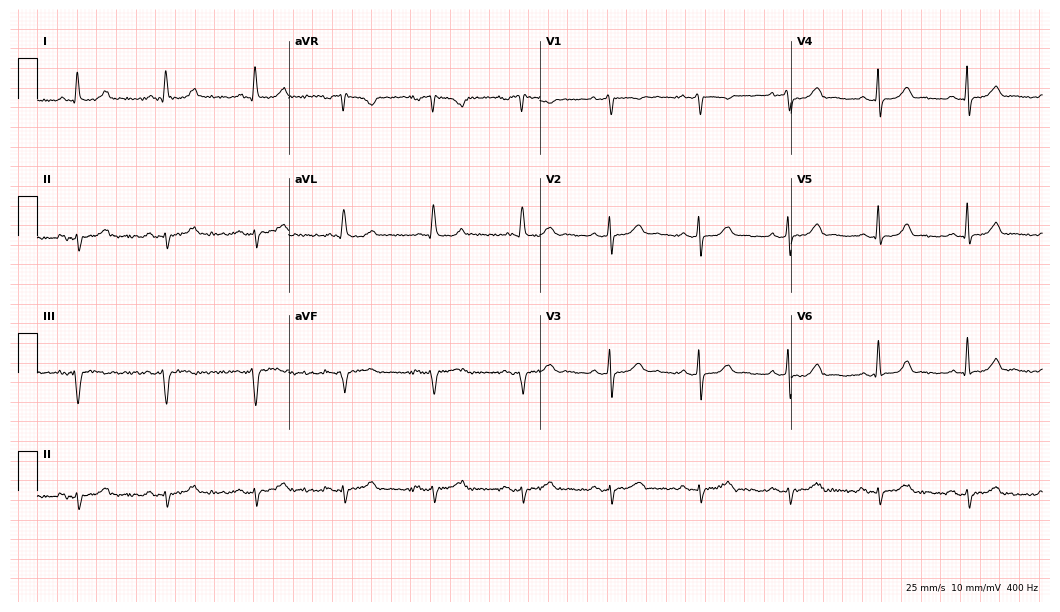
Electrocardiogram, a 73-year-old woman. Of the six screened findings (first-degree AV block, right bundle branch block, left bundle branch block, sinus bradycardia, atrial fibrillation, sinus tachycardia), none is recorded. Findings outside these six are not listed.